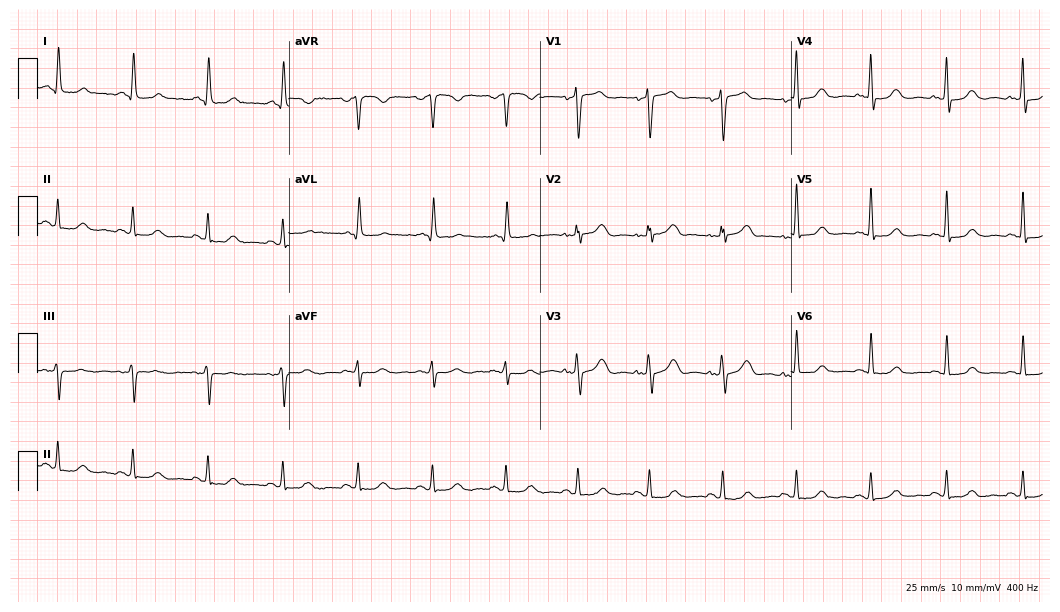
12-lead ECG from a female, 75 years old. Labelled as a normal ECG.